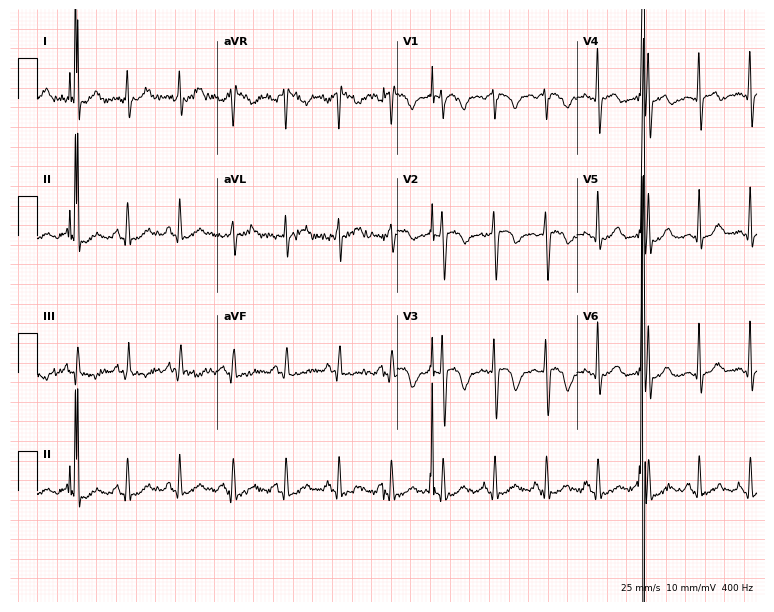
12-lead ECG from a 31-year-old male patient. Shows sinus tachycardia (a sinus rate of 100 beats per minute or more).